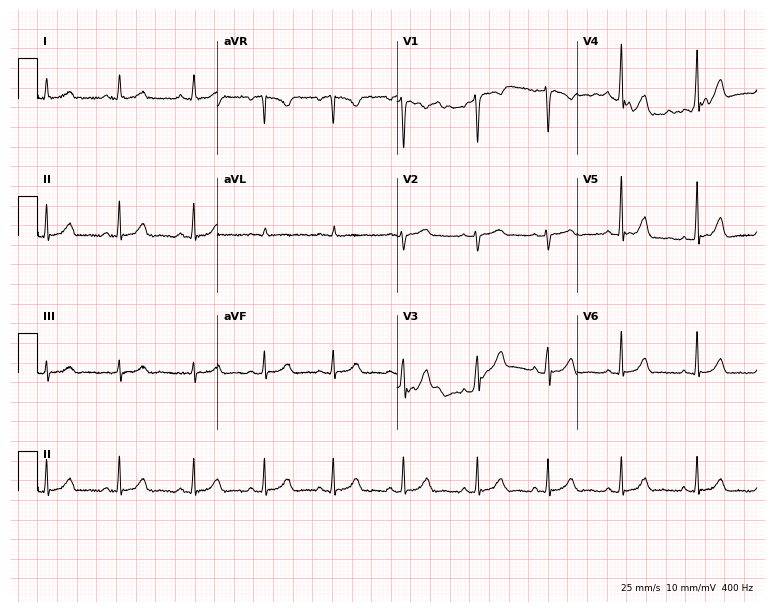
Resting 12-lead electrocardiogram. Patient: a 36-year-old woman. Read as a normal ECG.